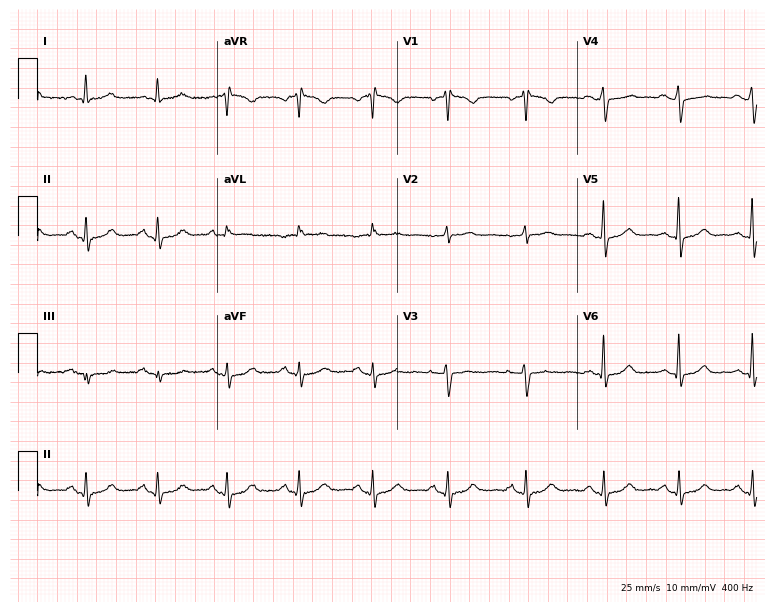
Standard 12-lead ECG recorded from a 58-year-old female (7.3-second recording at 400 Hz). None of these six findings is recorded: first-degree AV block, right bundle branch block, left bundle branch block, sinus bradycardia, atrial fibrillation, sinus tachycardia. Other findings, if any, are not listed.